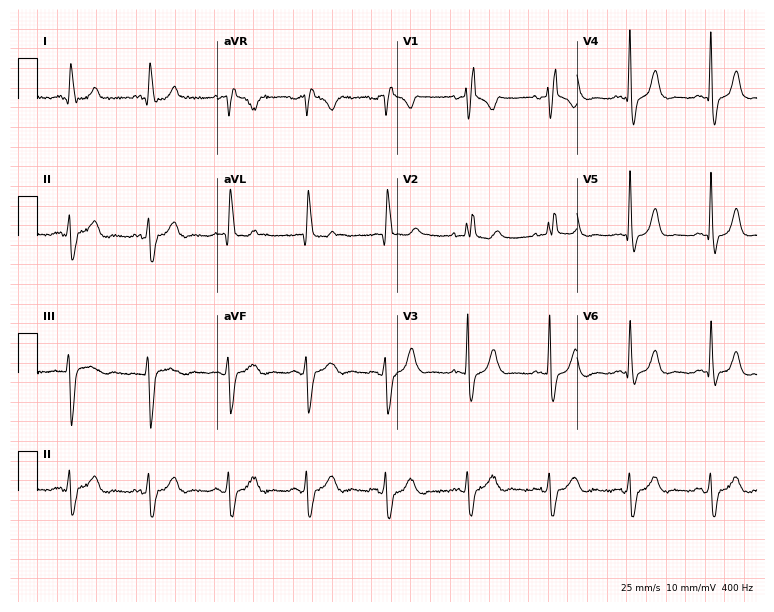
Electrocardiogram (7.3-second recording at 400 Hz), a 73-year-old female. Interpretation includes right bundle branch block.